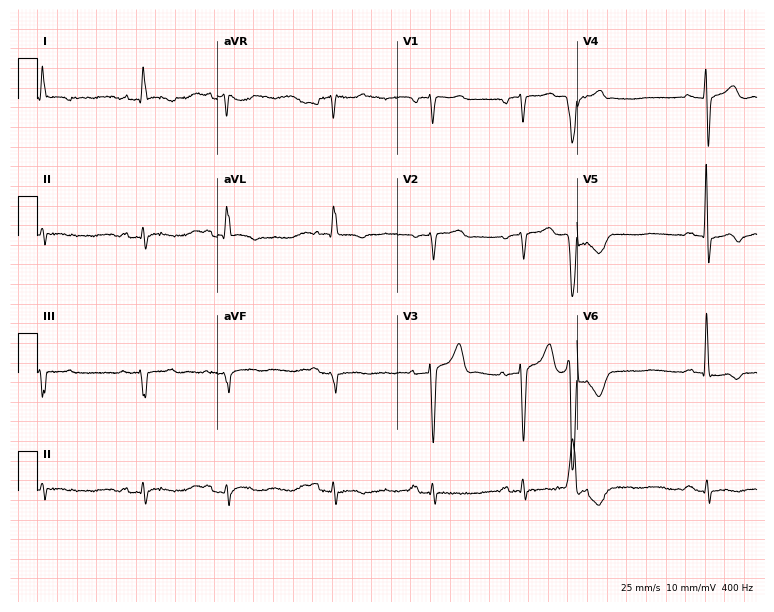
ECG (7.3-second recording at 400 Hz) — an 85-year-old male. Screened for six findings — first-degree AV block, right bundle branch block, left bundle branch block, sinus bradycardia, atrial fibrillation, sinus tachycardia — none is recorded.